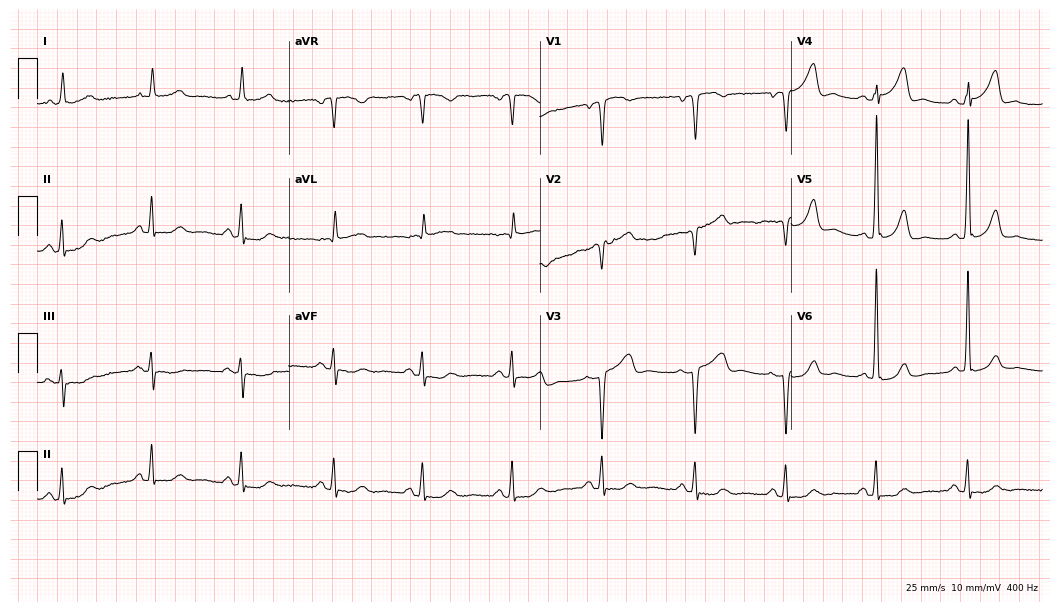
12-lead ECG from a 62-year-old female patient. No first-degree AV block, right bundle branch block, left bundle branch block, sinus bradycardia, atrial fibrillation or sinus tachycardia recorded for this tracing. Findings outside these six are not listed.